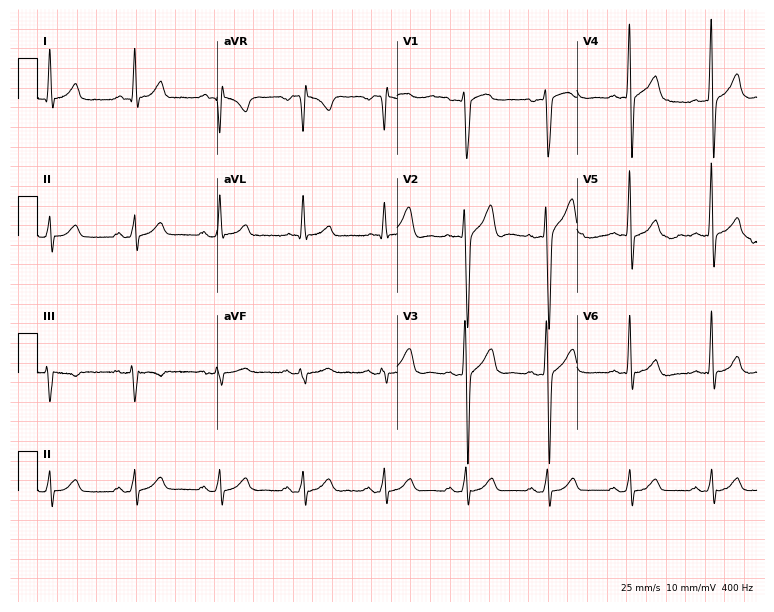
12-lead ECG from a male patient, 43 years old. Recorded interpretation: within normal limits.